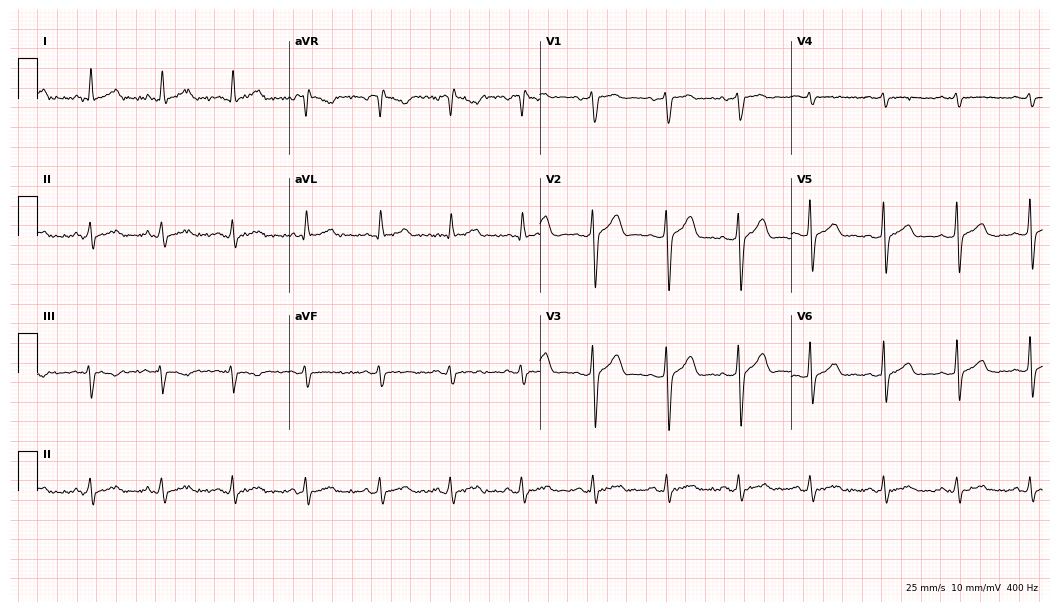
12-lead ECG (10.2-second recording at 400 Hz) from a 34-year-old man. Screened for six findings — first-degree AV block, right bundle branch block (RBBB), left bundle branch block (LBBB), sinus bradycardia, atrial fibrillation (AF), sinus tachycardia — none is recorded.